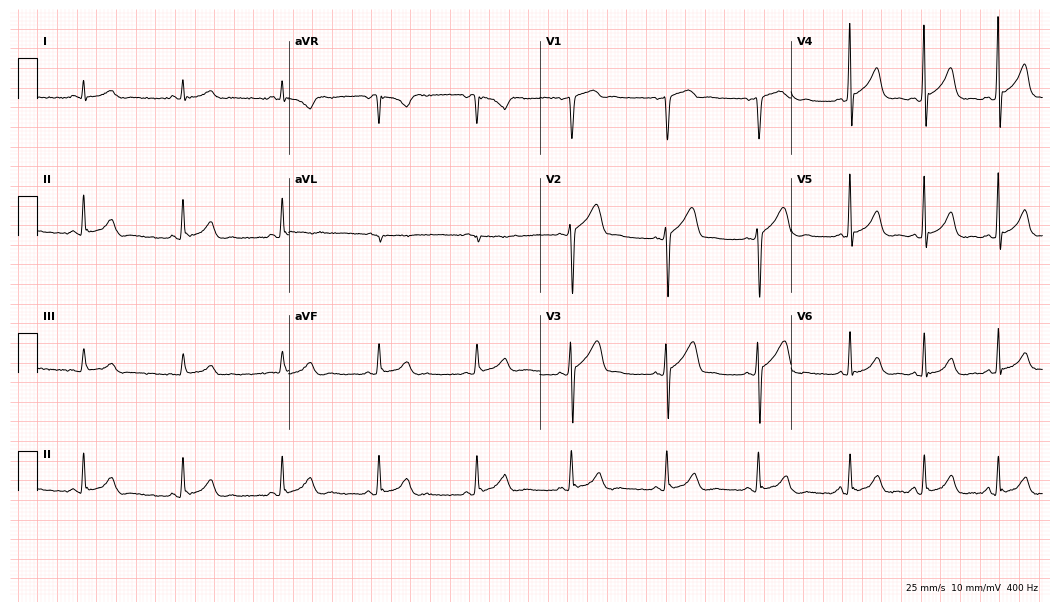
12-lead ECG from a male patient, 60 years old. Labelled as a normal ECG.